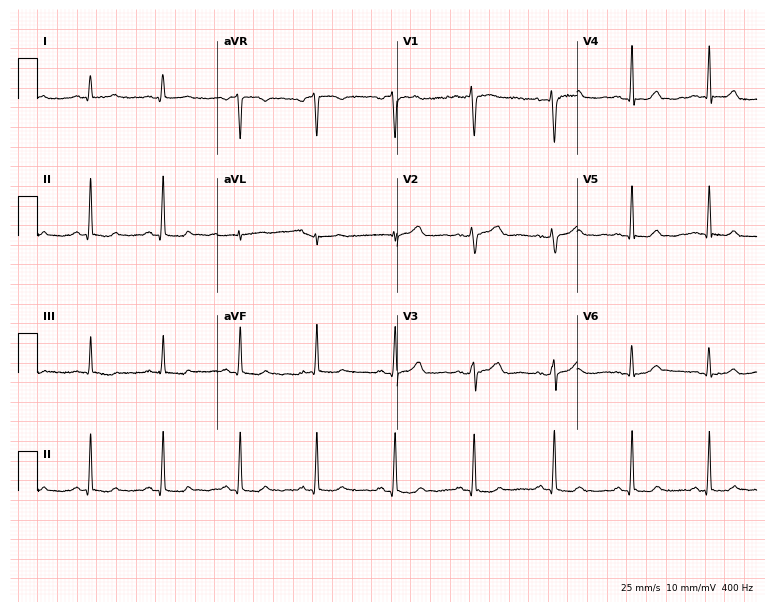
Electrocardiogram (7.3-second recording at 400 Hz), a woman, 43 years old. Of the six screened findings (first-degree AV block, right bundle branch block, left bundle branch block, sinus bradycardia, atrial fibrillation, sinus tachycardia), none is recorded. Findings outside these six are not listed.